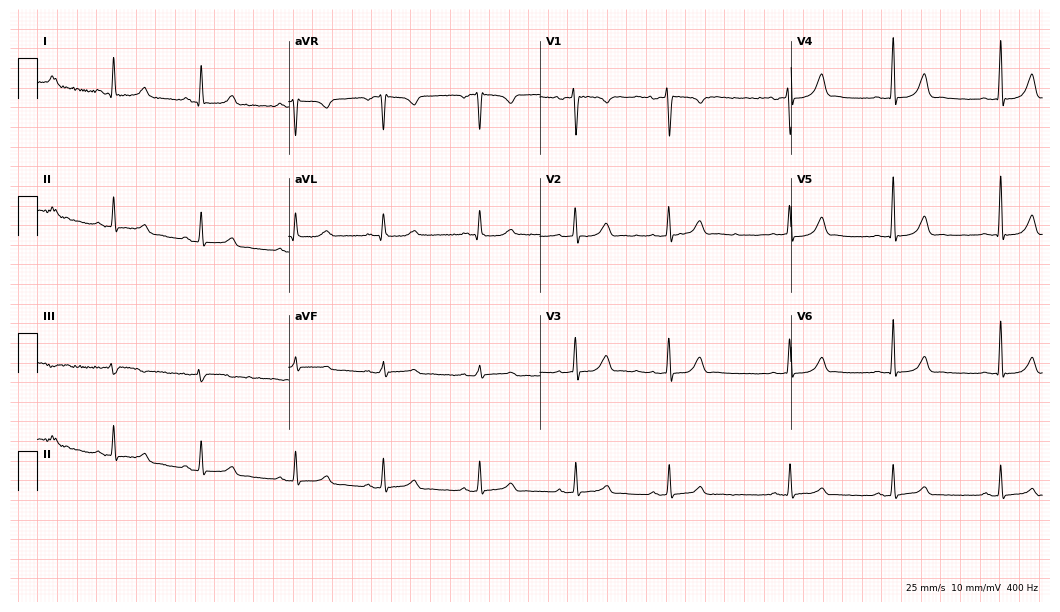
ECG — a female, 27 years old. Labelled as a normal ECG.